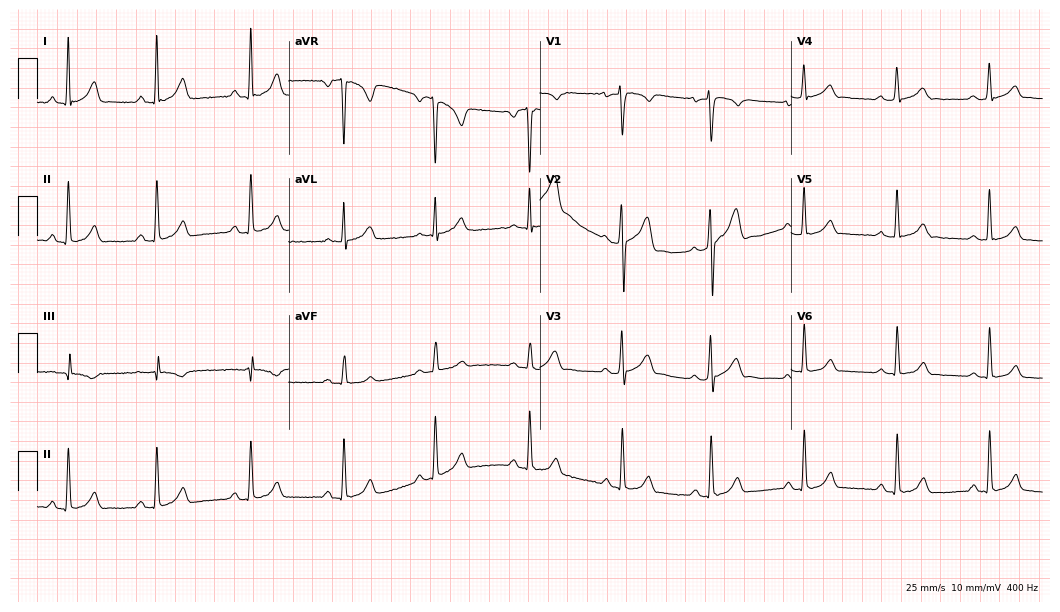
Electrocardiogram (10.2-second recording at 400 Hz), a 27-year-old male patient. Overall reading on record: normal ECG.